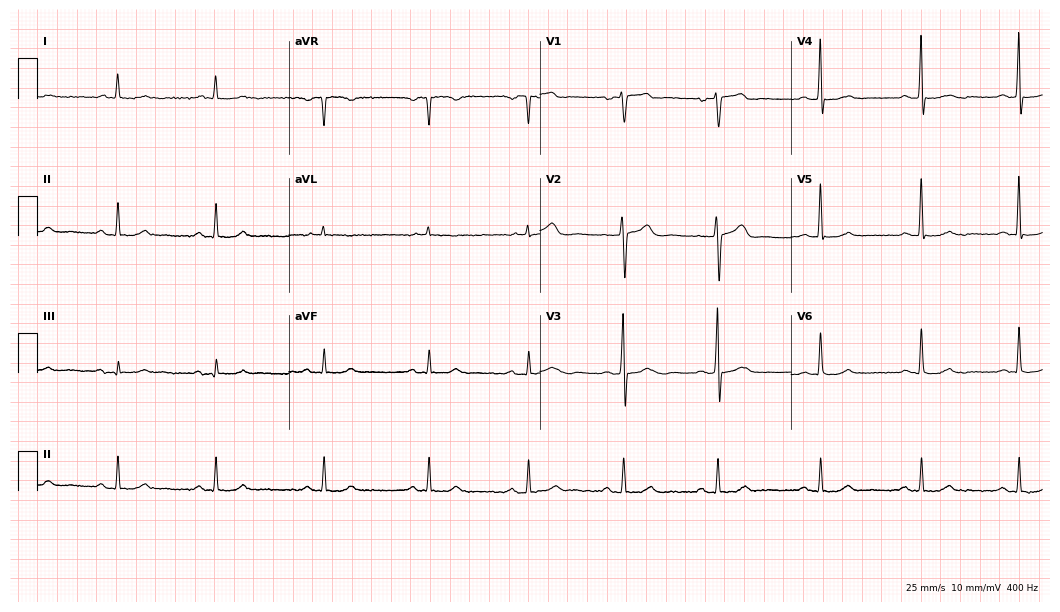
Resting 12-lead electrocardiogram. Patient: a male, 80 years old. Read as a normal ECG.